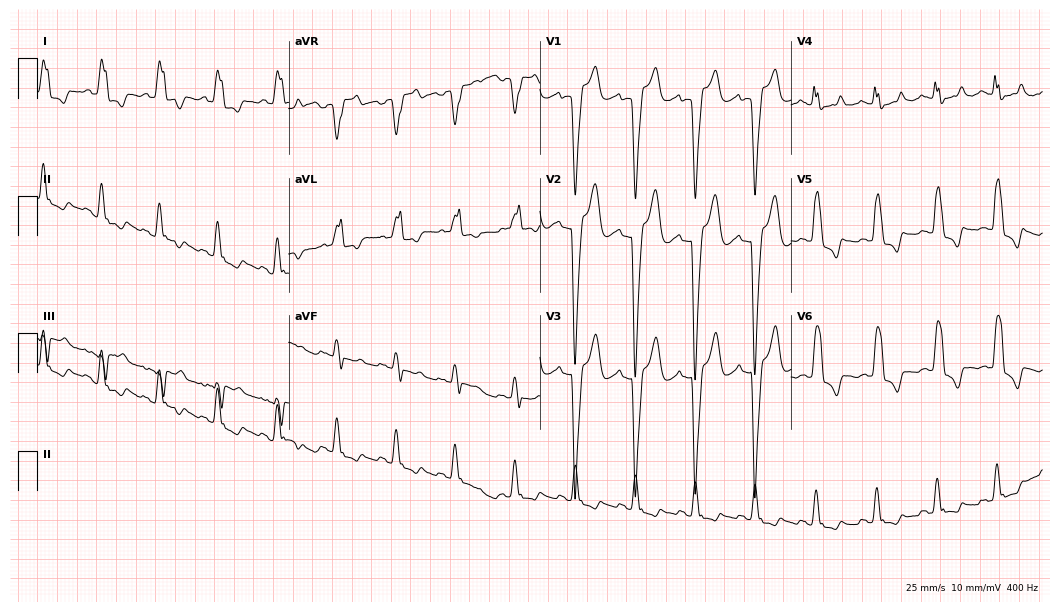
Electrocardiogram (10.2-second recording at 400 Hz), an 81-year-old female patient. Interpretation includes left bundle branch block (LBBB).